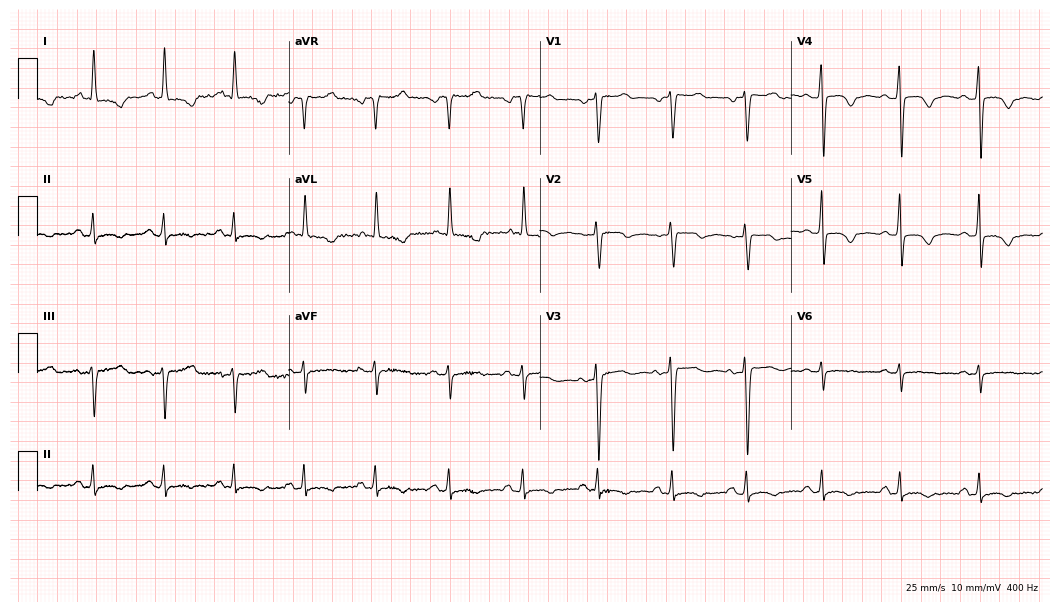
Electrocardiogram (10.2-second recording at 400 Hz), a 45-year-old woman. Of the six screened findings (first-degree AV block, right bundle branch block, left bundle branch block, sinus bradycardia, atrial fibrillation, sinus tachycardia), none is recorded. Findings outside these six are not listed.